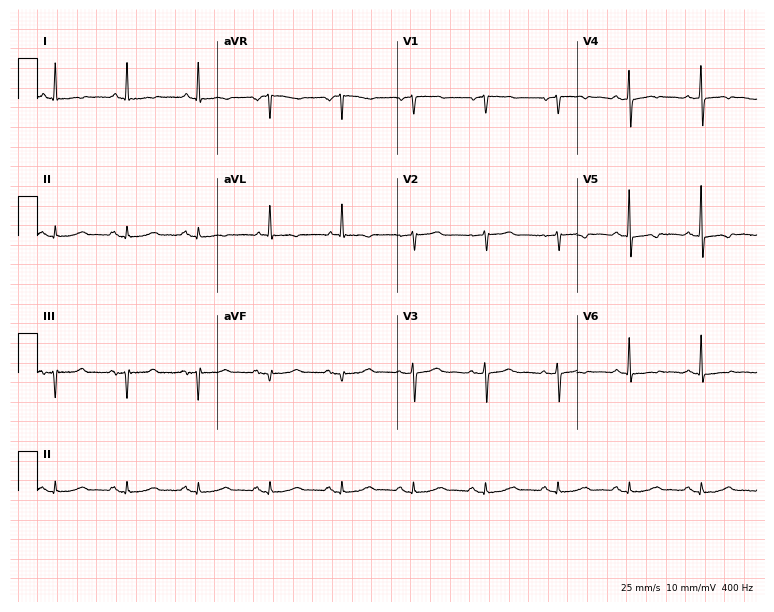
ECG (7.3-second recording at 400 Hz) — a woman, 70 years old. Screened for six findings — first-degree AV block, right bundle branch block, left bundle branch block, sinus bradycardia, atrial fibrillation, sinus tachycardia — none is recorded. Findings outside these six are not listed.